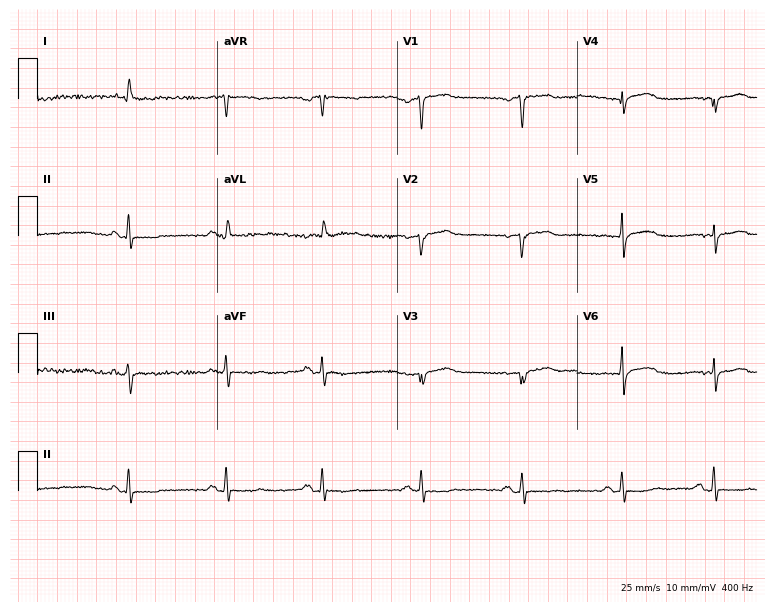
Standard 12-lead ECG recorded from a male patient, 67 years old (7.3-second recording at 400 Hz). None of these six findings is recorded: first-degree AV block, right bundle branch block, left bundle branch block, sinus bradycardia, atrial fibrillation, sinus tachycardia.